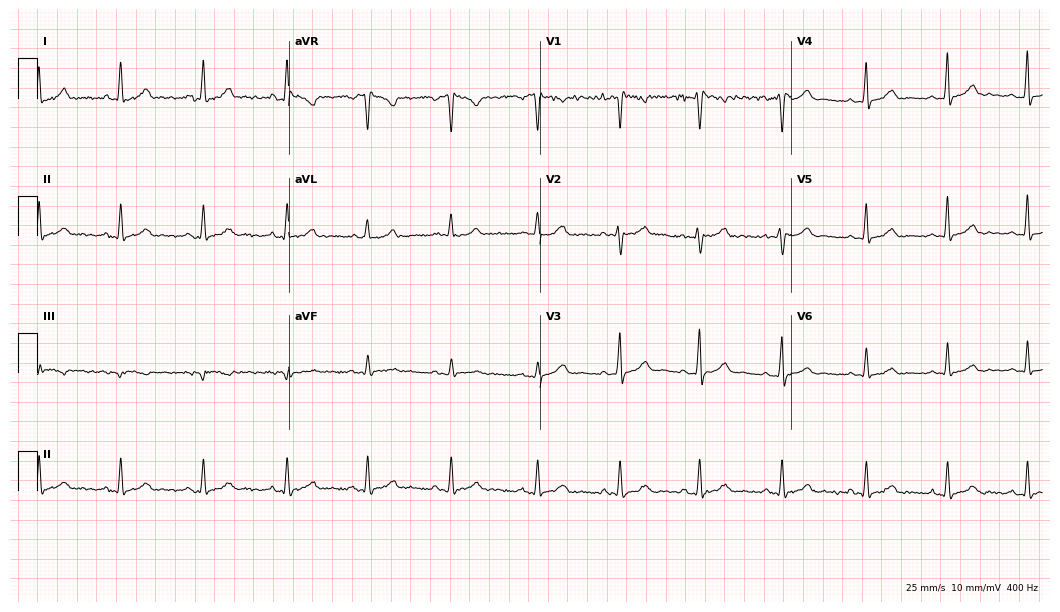
12-lead ECG from a 35-year-old woman. Recorded interpretation: within normal limits.